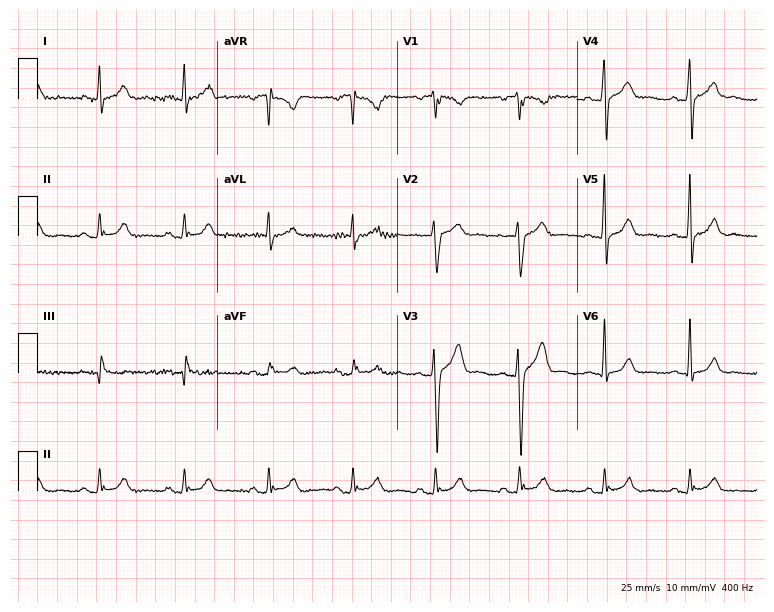
ECG — a male, 35 years old. Labelled as a normal ECG.